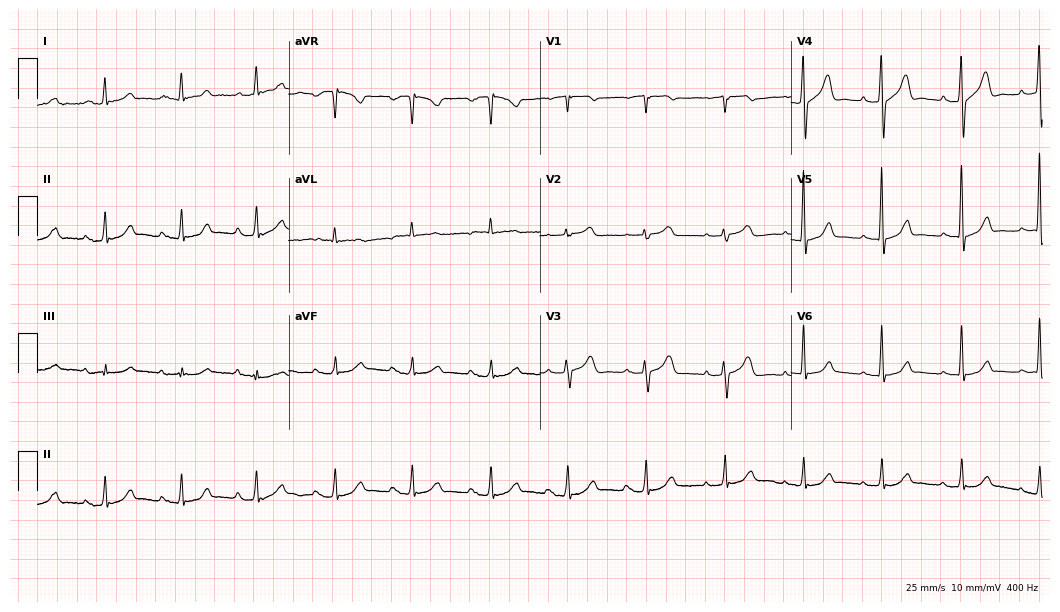
Resting 12-lead electrocardiogram (10.2-second recording at 400 Hz). Patient: a woman, 80 years old. Read as a normal ECG.